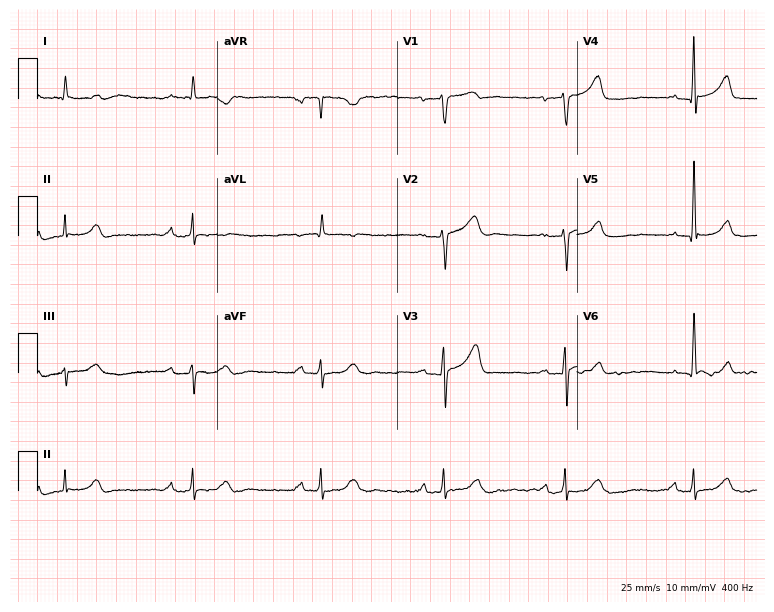
Standard 12-lead ECG recorded from a 76-year-old male patient. Read as a normal ECG.